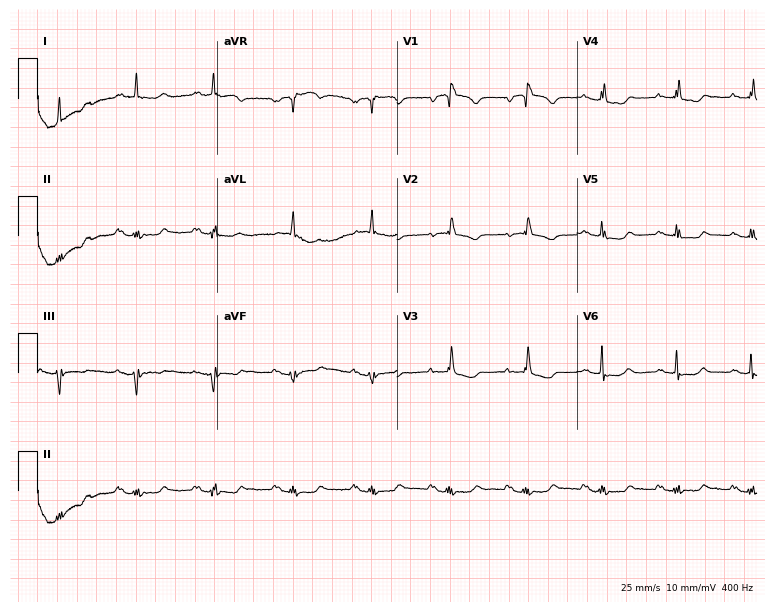
ECG — a 65-year-old female. Labelled as a normal ECG.